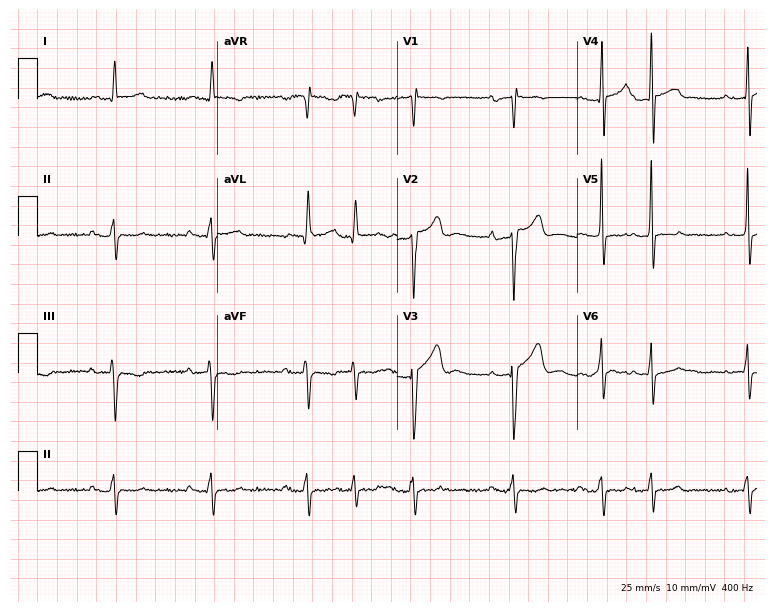
Standard 12-lead ECG recorded from a 67-year-old man. None of these six findings is recorded: first-degree AV block, right bundle branch block, left bundle branch block, sinus bradycardia, atrial fibrillation, sinus tachycardia.